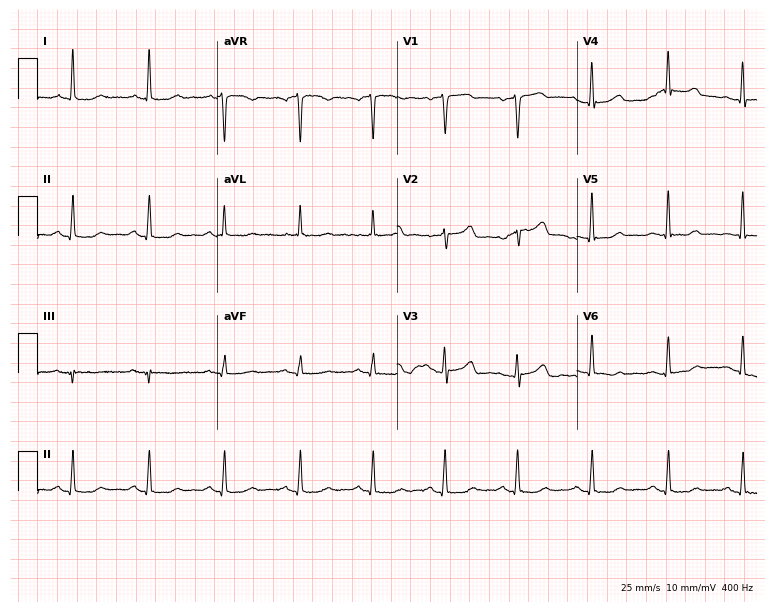
Resting 12-lead electrocardiogram (7.3-second recording at 400 Hz). Patient: a woman, 56 years old. None of these six findings is recorded: first-degree AV block, right bundle branch block, left bundle branch block, sinus bradycardia, atrial fibrillation, sinus tachycardia.